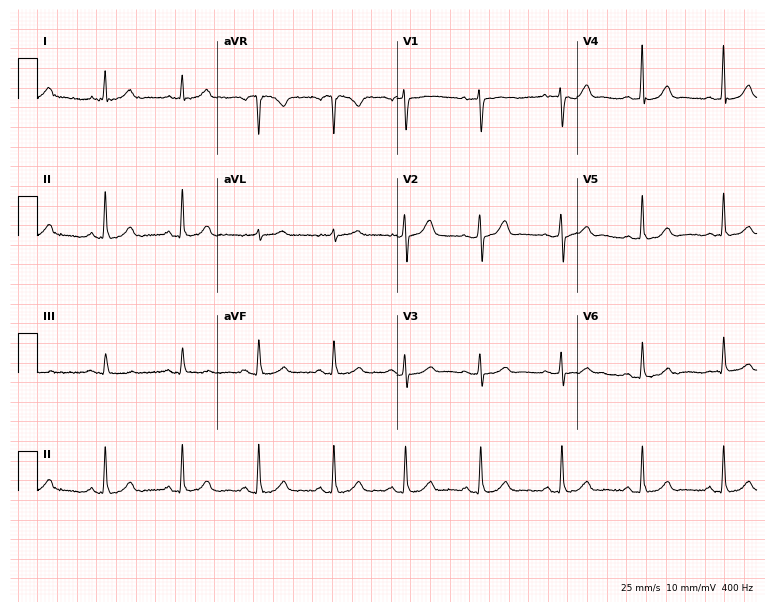
ECG (7.3-second recording at 400 Hz) — a woman, 54 years old. Screened for six findings — first-degree AV block, right bundle branch block, left bundle branch block, sinus bradycardia, atrial fibrillation, sinus tachycardia — none is recorded.